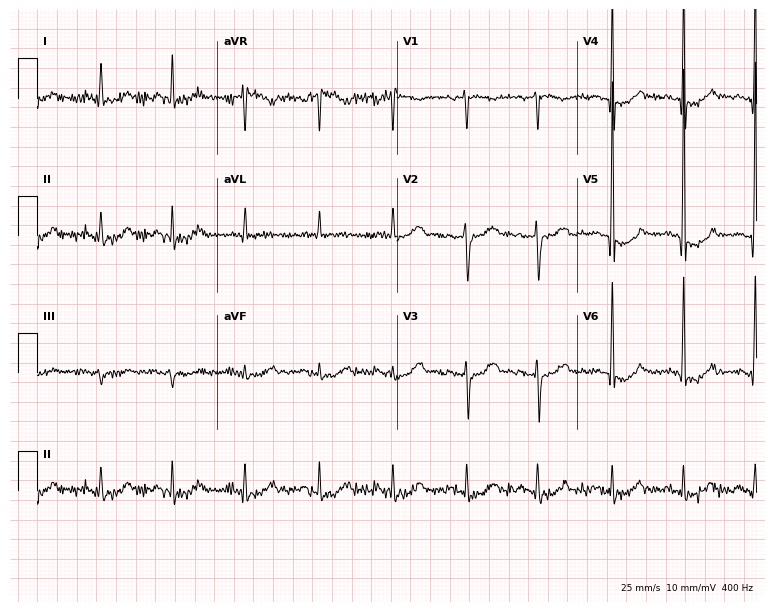
Standard 12-lead ECG recorded from an 80-year-old man (7.3-second recording at 400 Hz). None of these six findings is recorded: first-degree AV block, right bundle branch block, left bundle branch block, sinus bradycardia, atrial fibrillation, sinus tachycardia.